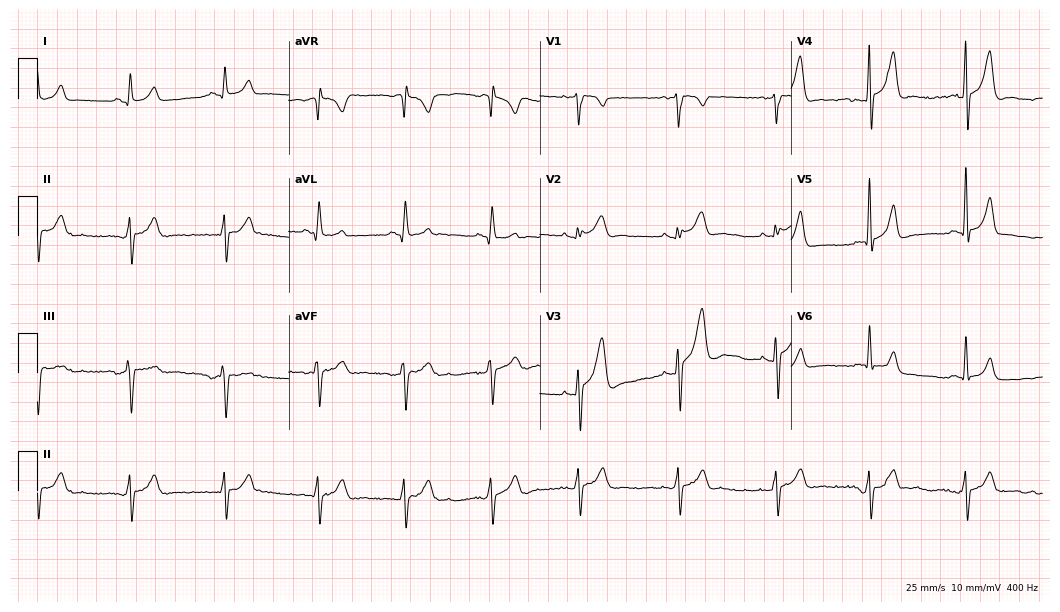
Resting 12-lead electrocardiogram (10.2-second recording at 400 Hz). Patient: a man, 27 years old. None of these six findings is recorded: first-degree AV block, right bundle branch block, left bundle branch block, sinus bradycardia, atrial fibrillation, sinus tachycardia.